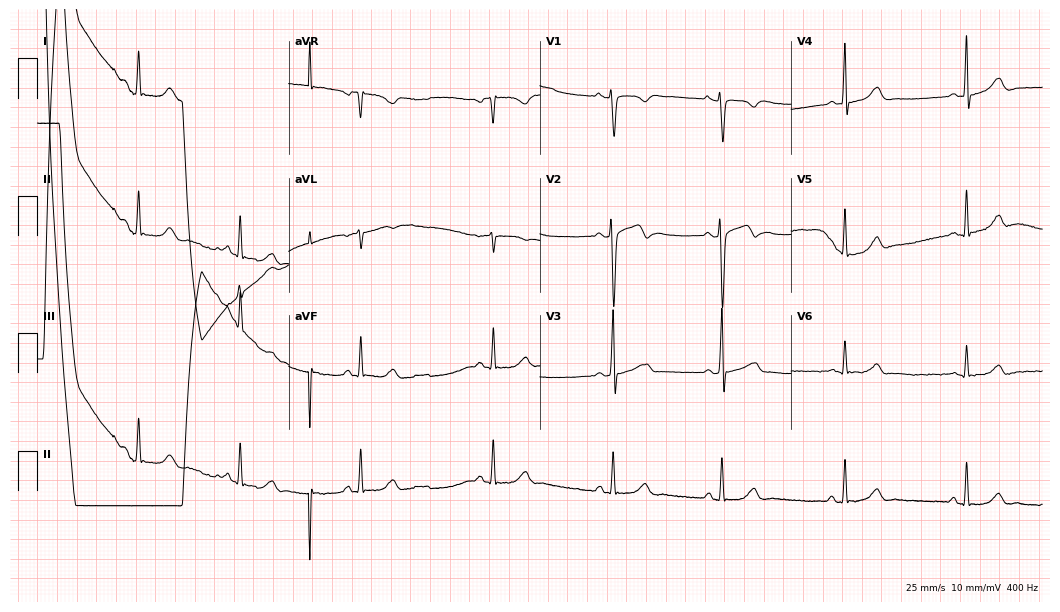
Standard 12-lead ECG recorded from a 25-year-old female patient (10.2-second recording at 400 Hz). None of these six findings is recorded: first-degree AV block, right bundle branch block, left bundle branch block, sinus bradycardia, atrial fibrillation, sinus tachycardia. Findings outside these six are not listed.